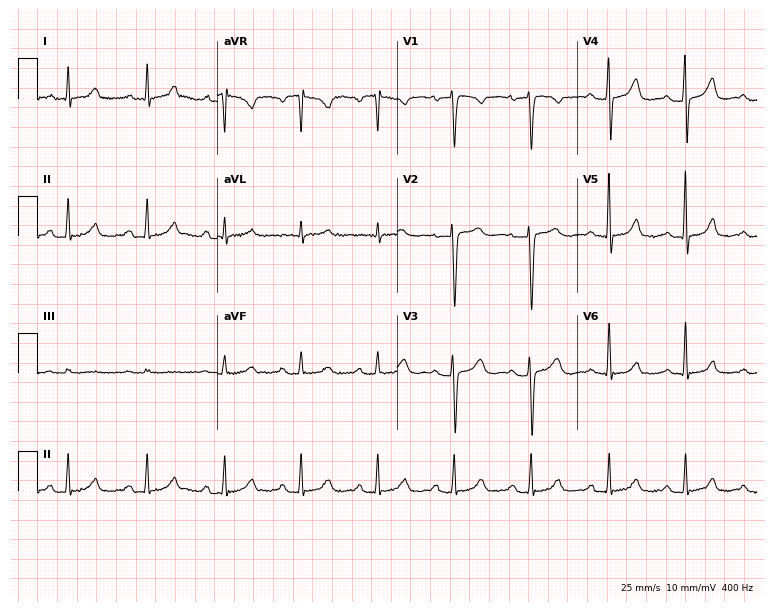
12-lead ECG from a female, 45 years old. Labelled as a normal ECG.